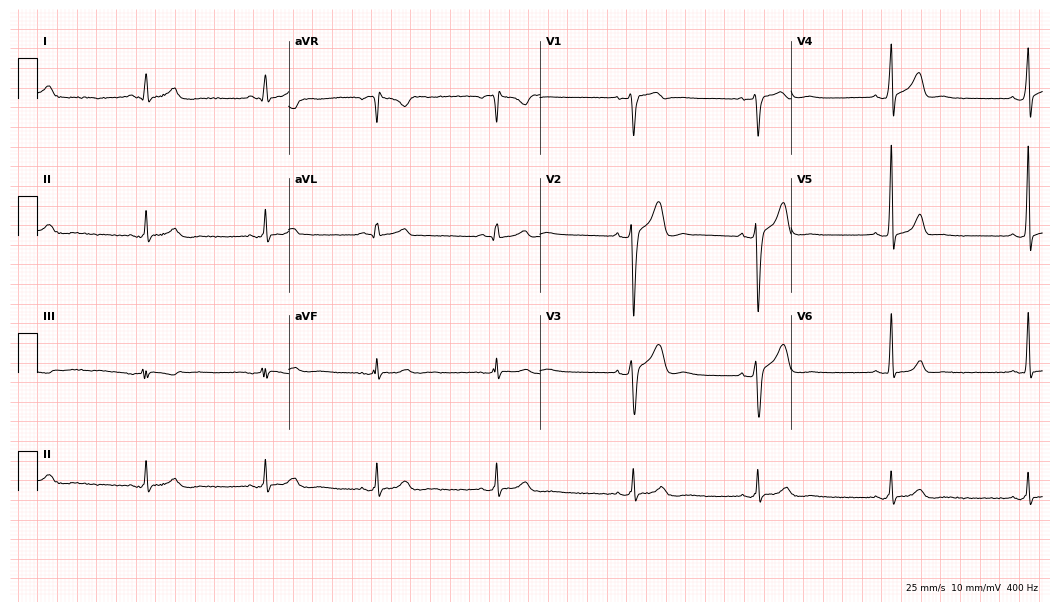
ECG (10.2-second recording at 400 Hz) — a 34-year-old male patient. Findings include sinus bradycardia (a sinus rate of 50 beats per minute or less).